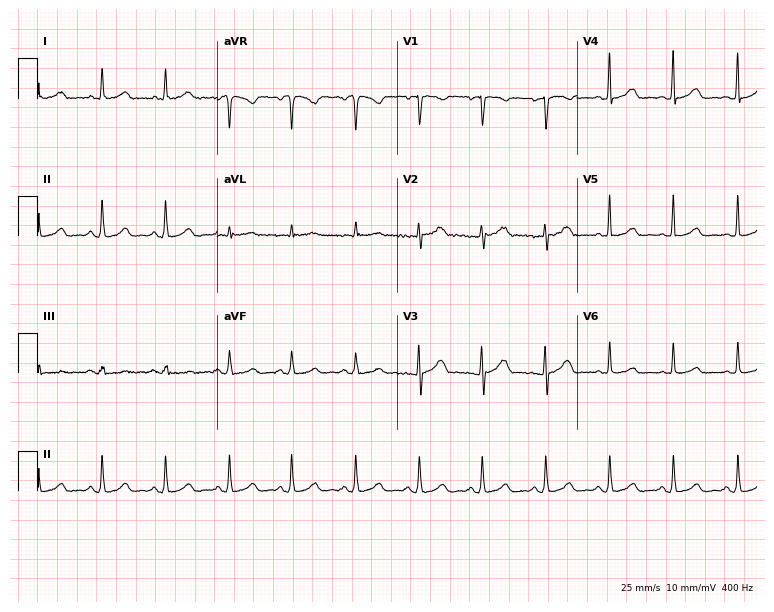
Standard 12-lead ECG recorded from a 40-year-old female patient (7.3-second recording at 400 Hz). None of these six findings is recorded: first-degree AV block, right bundle branch block (RBBB), left bundle branch block (LBBB), sinus bradycardia, atrial fibrillation (AF), sinus tachycardia. Findings outside these six are not listed.